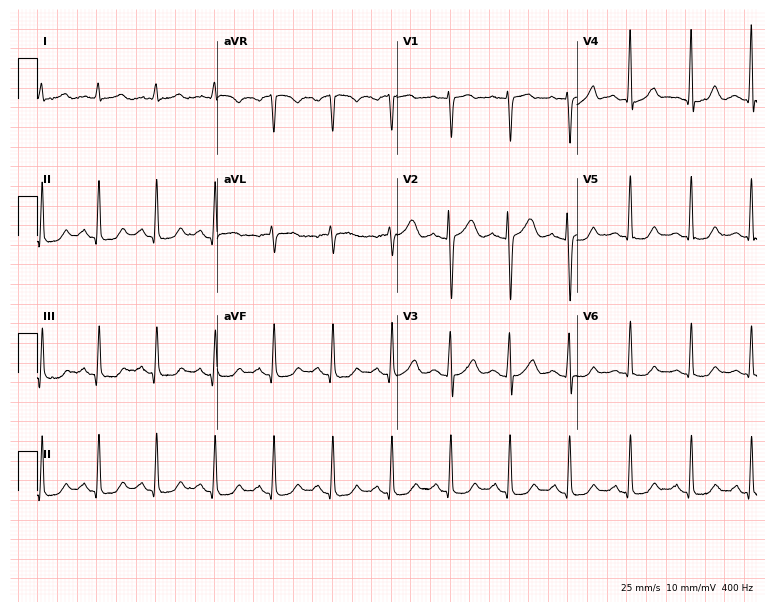
Electrocardiogram, a female patient, 54 years old. Overall reading on record: normal ECG.